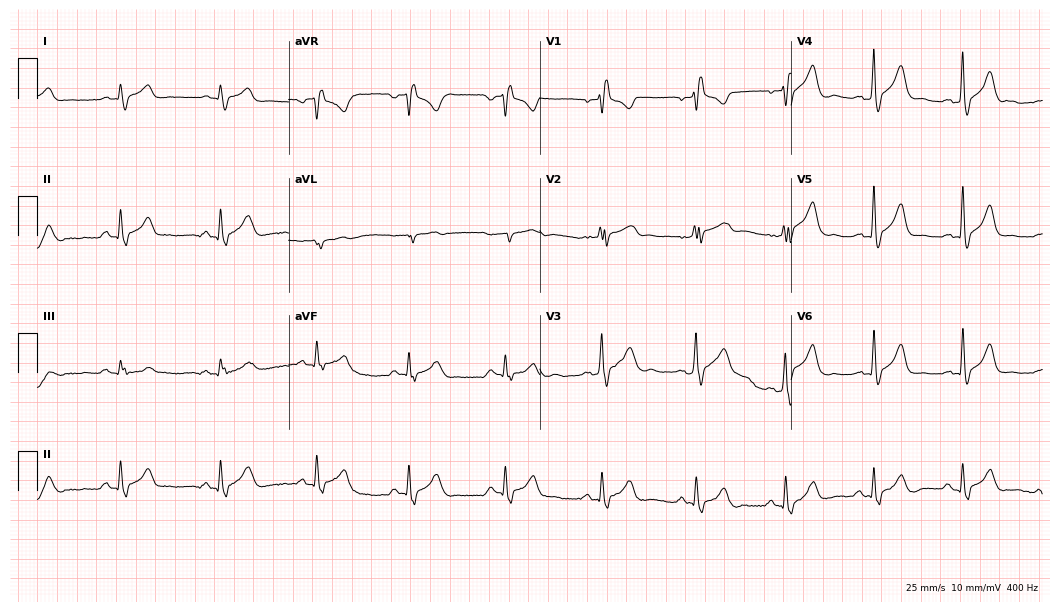
Standard 12-lead ECG recorded from a 59-year-old female (10.2-second recording at 400 Hz). The tracing shows right bundle branch block (RBBB).